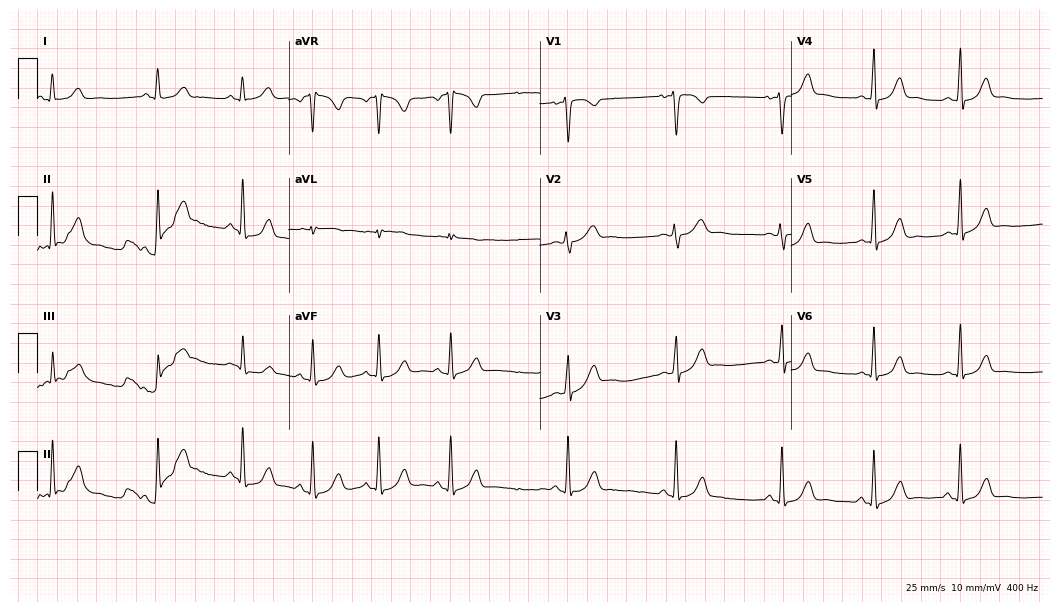
12-lead ECG (10.2-second recording at 400 Hz) from a female, 24 years old. Labelled as a normal ECG.